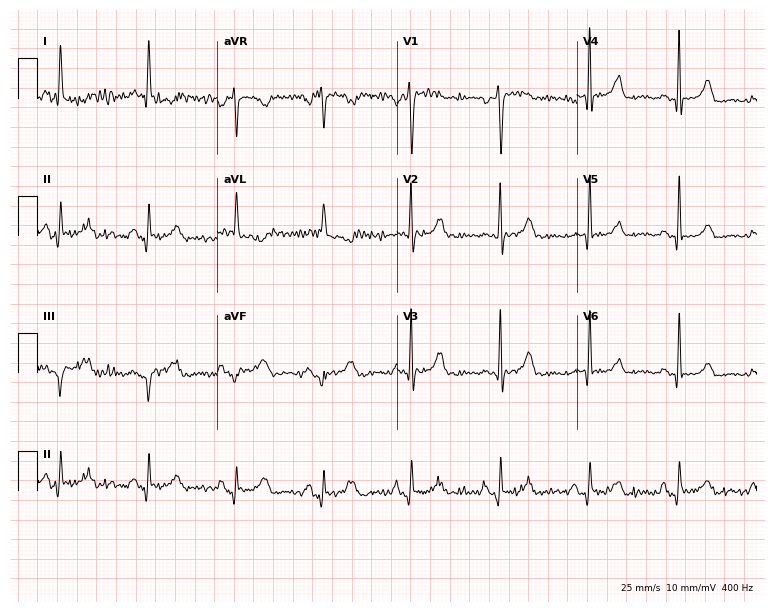
12-lead ECG from a female, 68 years old. Screened for six findings — first-degree AV block, right bundle branch block, left bundle branch block, sinus bradycardia, atrial fibrillation, sinus tachycardia — none is recorded. Only these six findings were labelled.